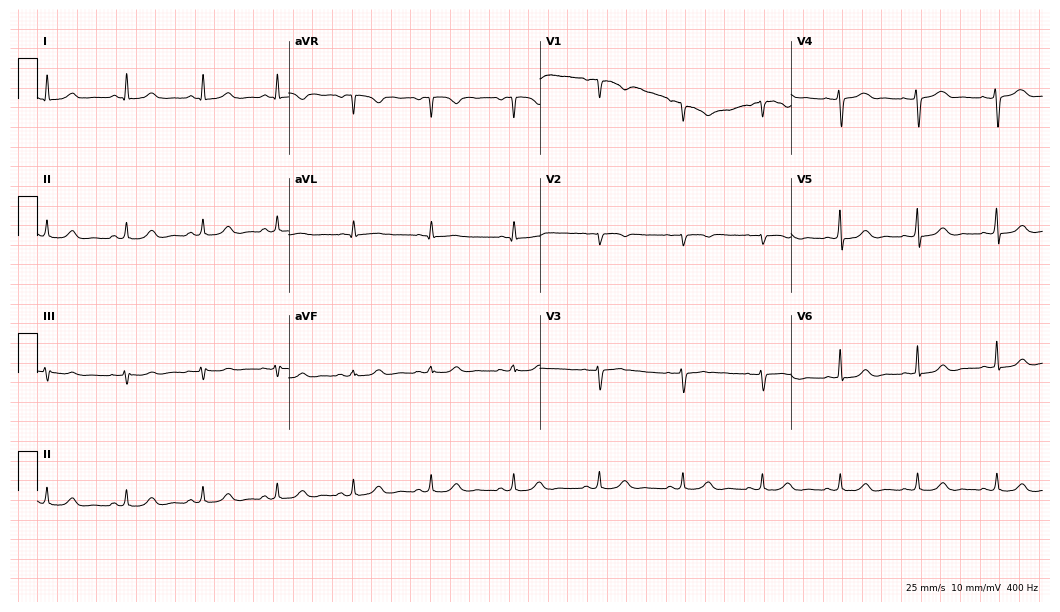
Electrocardiogram, a female, 34 years old. Overall reading on record: normal ECG.